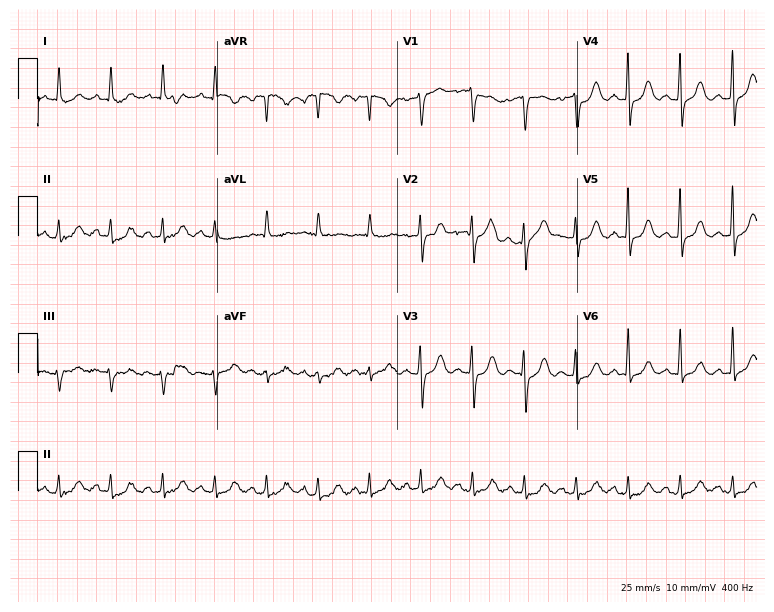
ECG (7.3-second recording at 400 Hz) — a 68-year-old male patient. Findings include sinus tachycardia (a sinus rate of 100 beats per minute or more).